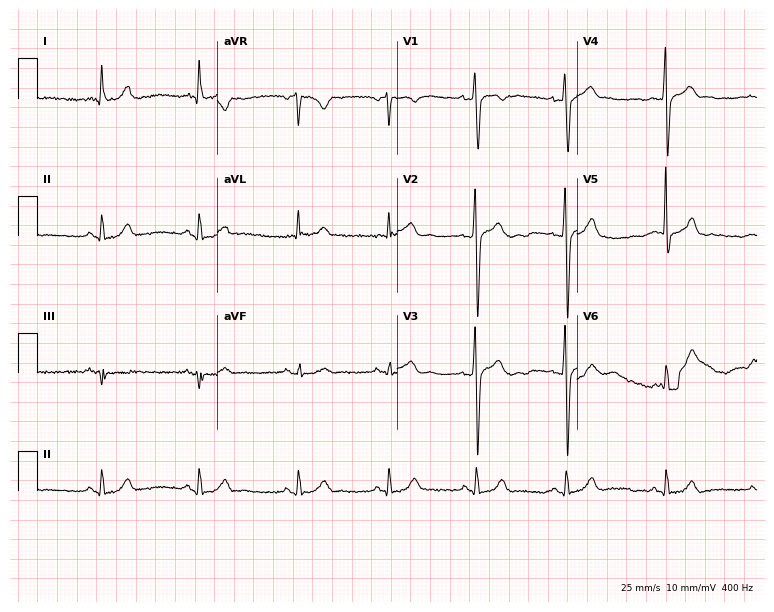
ECG (7.3-second recording at 400 Hz) — a 27-year-old male patient. Screened for six findings — first-degree AV block, right bundle branch block (RBBB), left bundle branch block (LBBB), sinus bradycardia, atrial fibrillation (AF), sinus tachycardia — none is recorded.